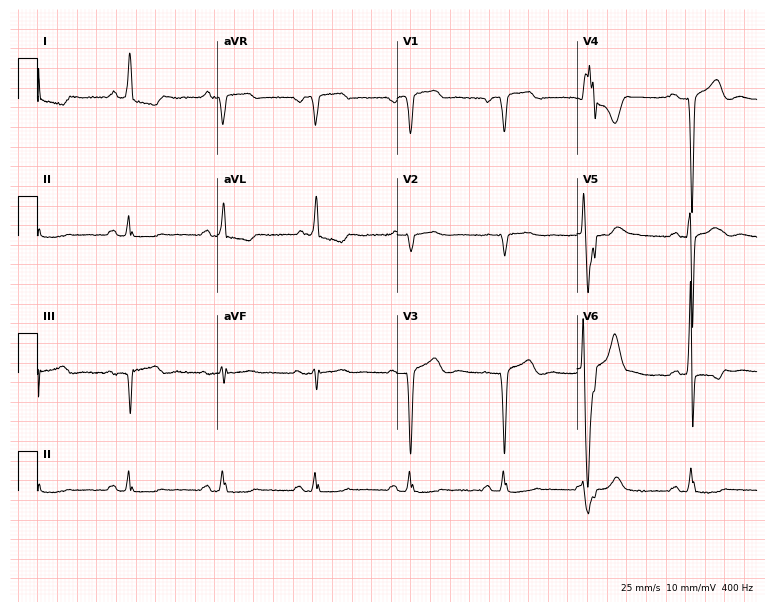
ECG (7.3-second recording at 400 Hz) — a male, 77 years old. Screened for six findings — first-degree AV block, right bundle branch block (RBBB), left bundle branch block (LBBB), sinus bradycardia, atrial fibrillation (AF), sinus tachycardia — none is recorded.